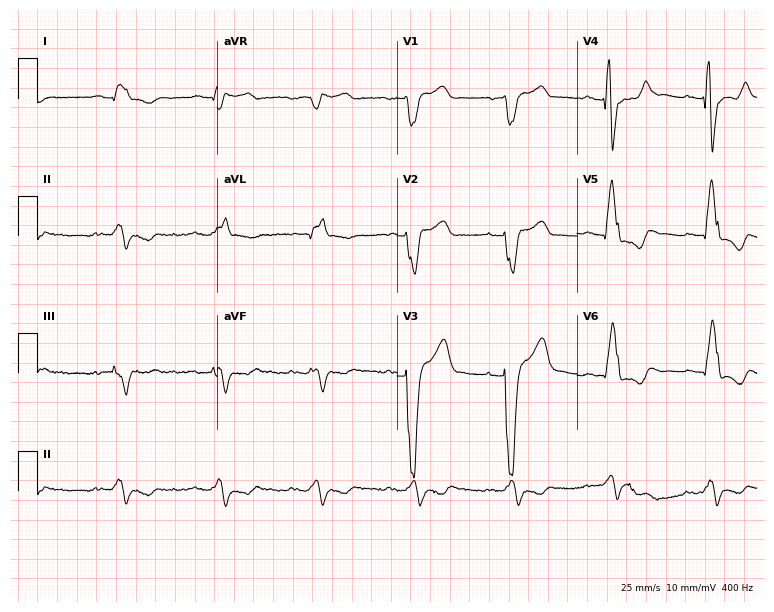
Standard 12-lead ECG recorded from a male, 51 years old (7.3-second recording at 400 Hz). None of these six findings is recorded: first-degree AV block, right bundle branch block (RBBB), left bundle branch block (LBBB), sinus bradycardia, atrial fibrillation (AF), sinus tachycardia.